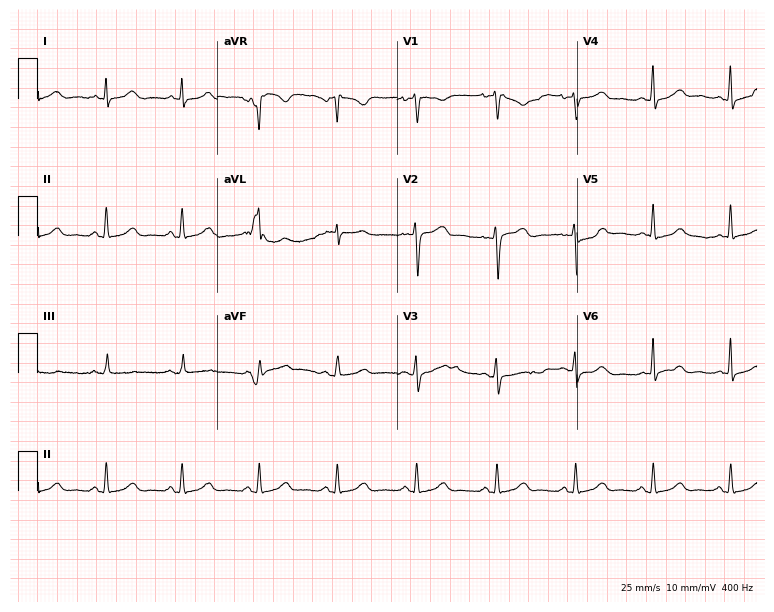
Standard 12-lead ECG recorded from a woman, 36 years old (7.3-second recording at 400 Hz). Read as a normal ECG.